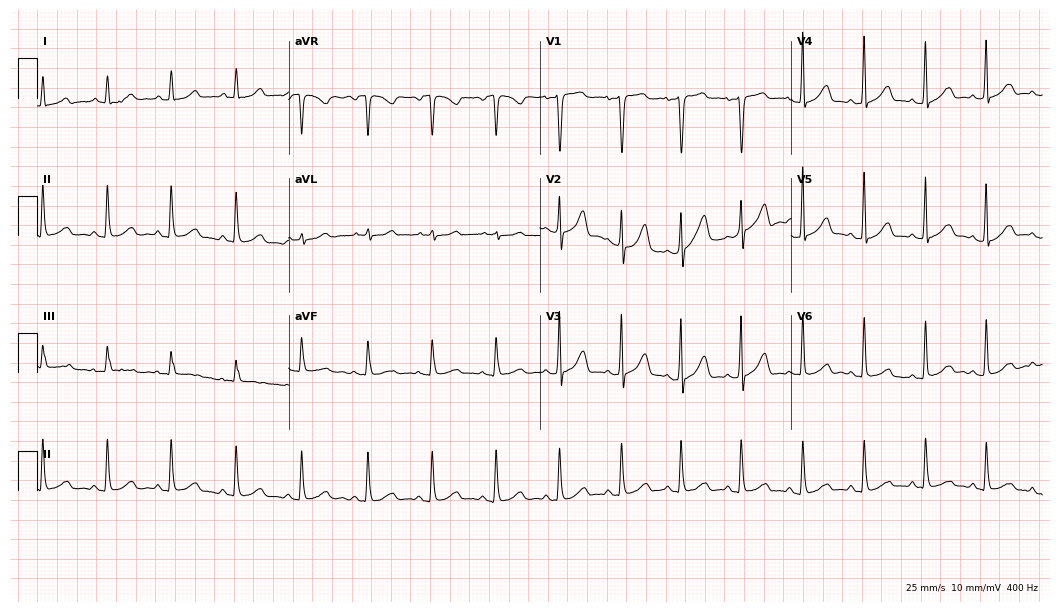
12-lead ECG from a 40-year-old female. Recorded interpretation: within normal limits.